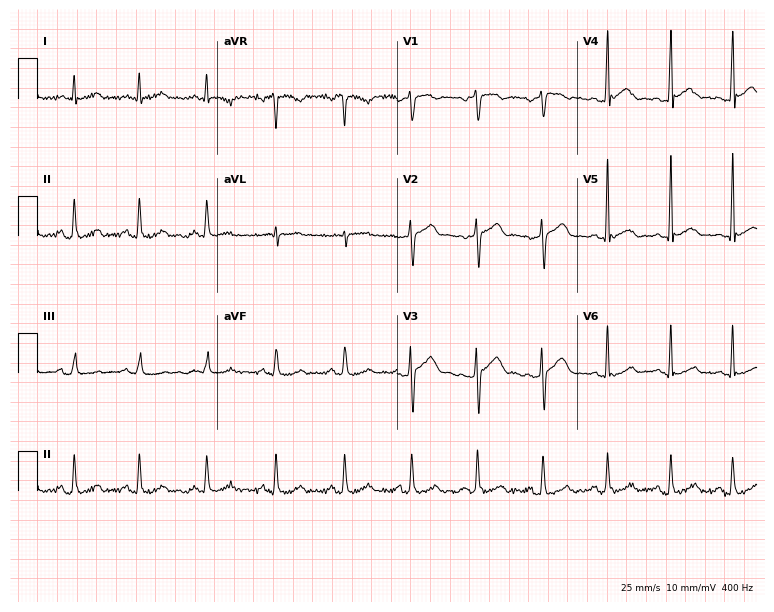
12-lead ECG from a 47-year-old male. Recorded interpretation: within normal limits.